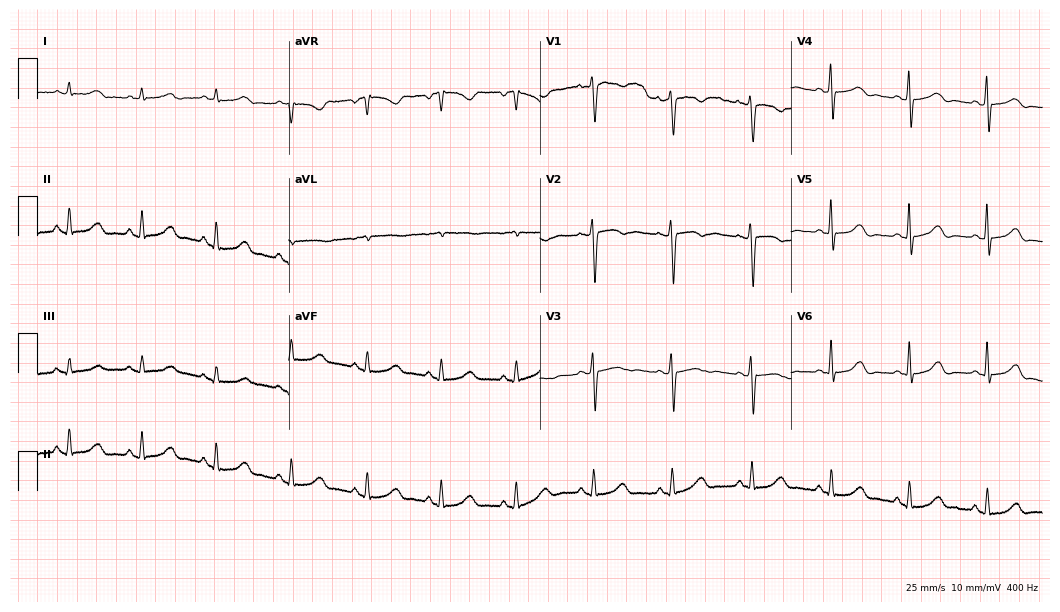
Resting 12-lead electrocardiogram (10.2-second recording at 400 Hz). Patient: a 63-year-old woman. None of these six findings is recorded: first-degree AV block, right bundle branch block, left bundle branch block, sinus bradycardia, atrial fibrillation, sinus tachycardia.